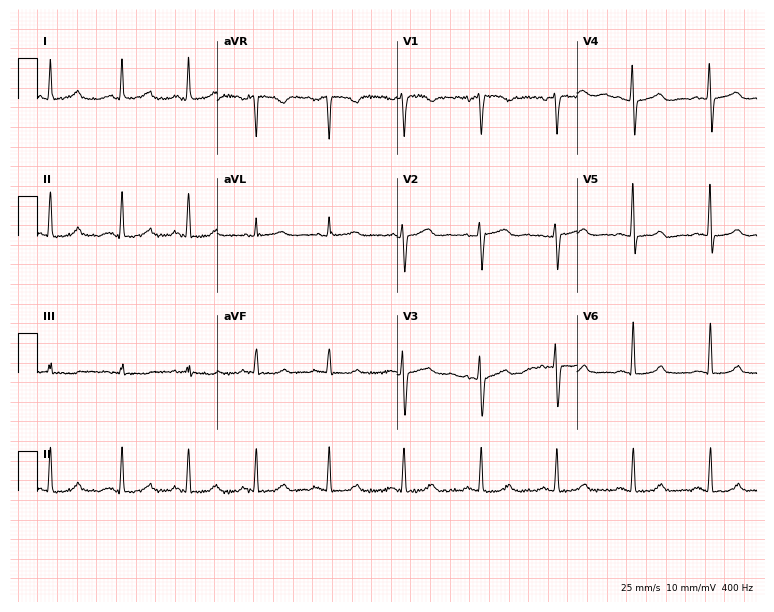
12-lead ECG from a 49-year-old female patient. Labelled as a normal ECG.